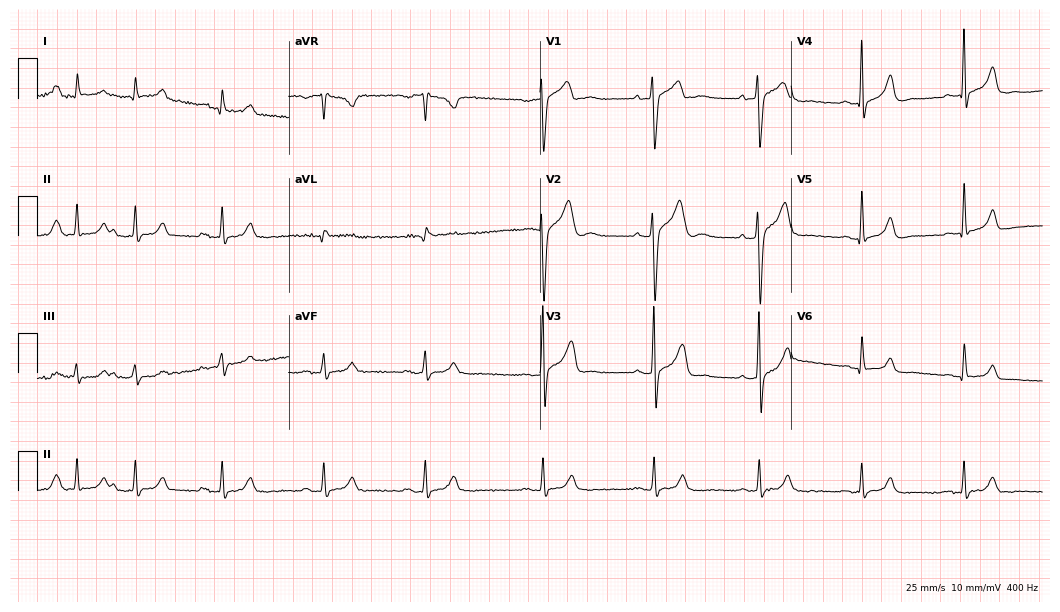
ECG — a male patient, 26 years old. Screened for six findings — first-degree AV block, right bundle branch block, left bundle branch block, sinus bradycardia, atrial fibrillation, sinus tachycardia — none is recorded.